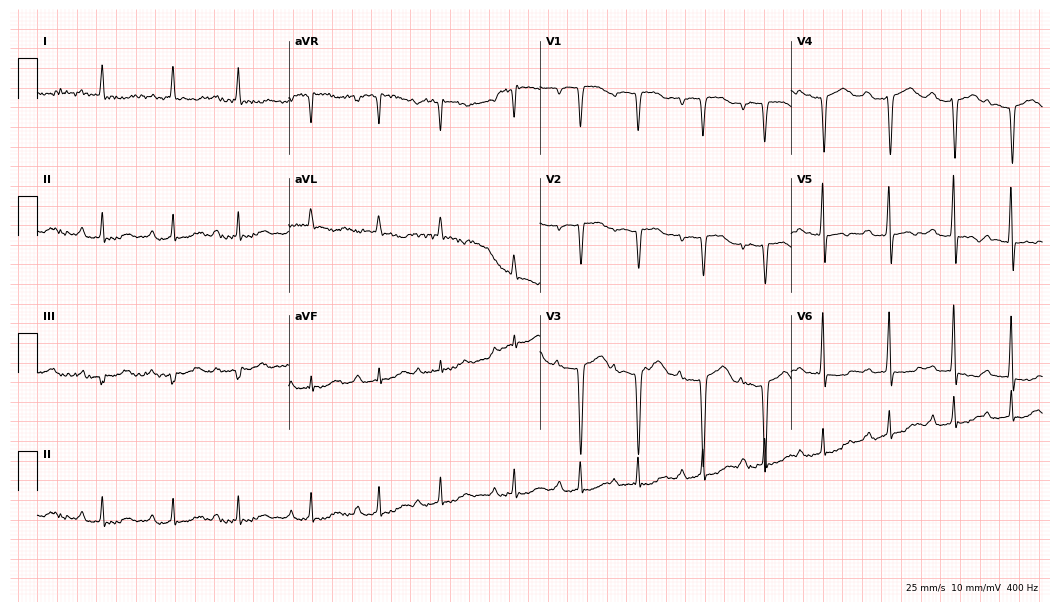
12-lead ECG (10.2-second recording at 400 Hz) from a female patient, 71 years old. Findings include first-degree AV block.